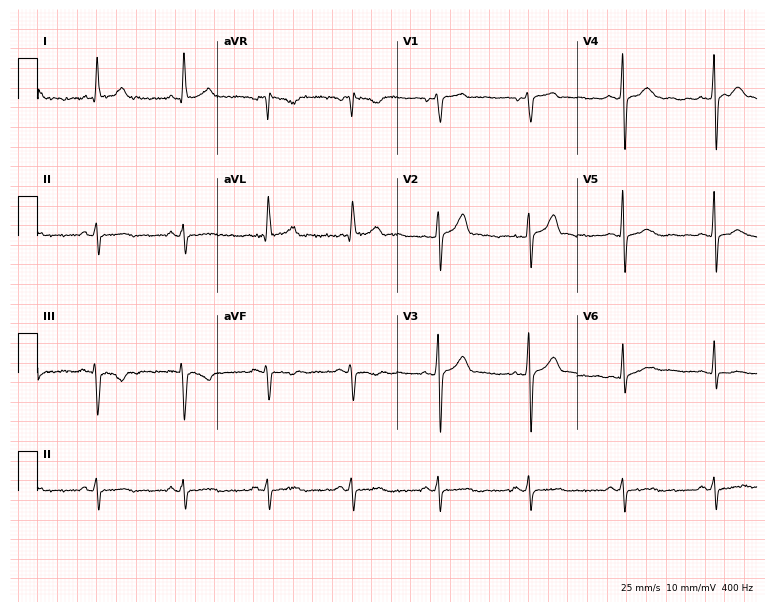
12-lead ECG from a male, 46 years old. No first-degree AV block, right bundle branch block, left bundle branch block, sinus bradycardia, atrial fibrillation or sinus tachycardia recorded for this tracing.